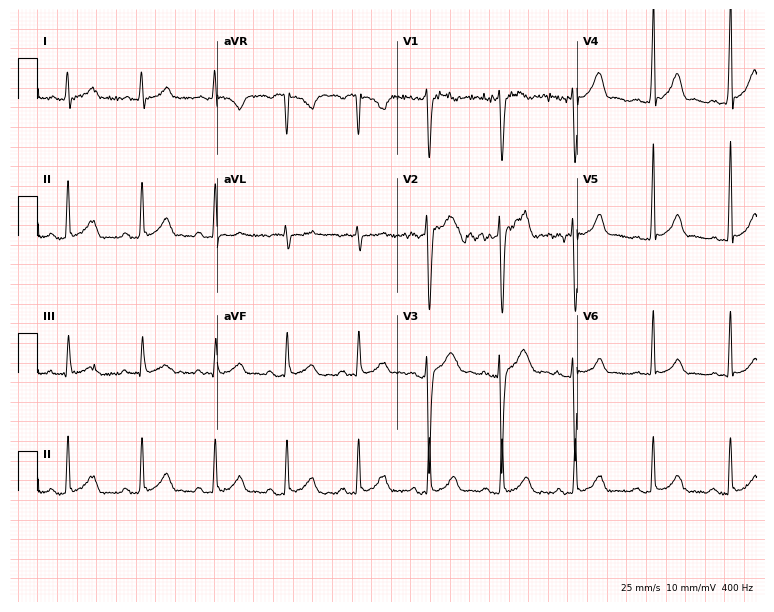
ECG — an 18-year-old male. Labelled as a normal ECG.